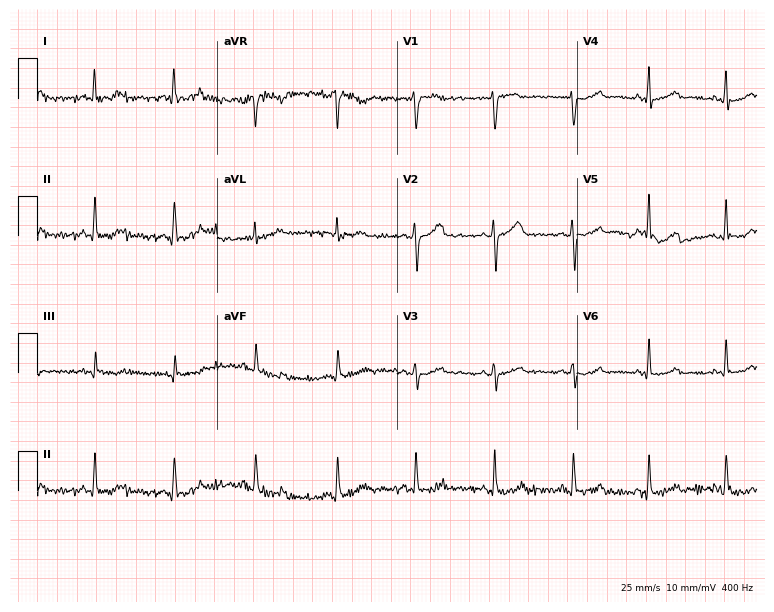
Standard 12-lead ECG recorded from a 47-year-old woman. Read as a normal ECG.